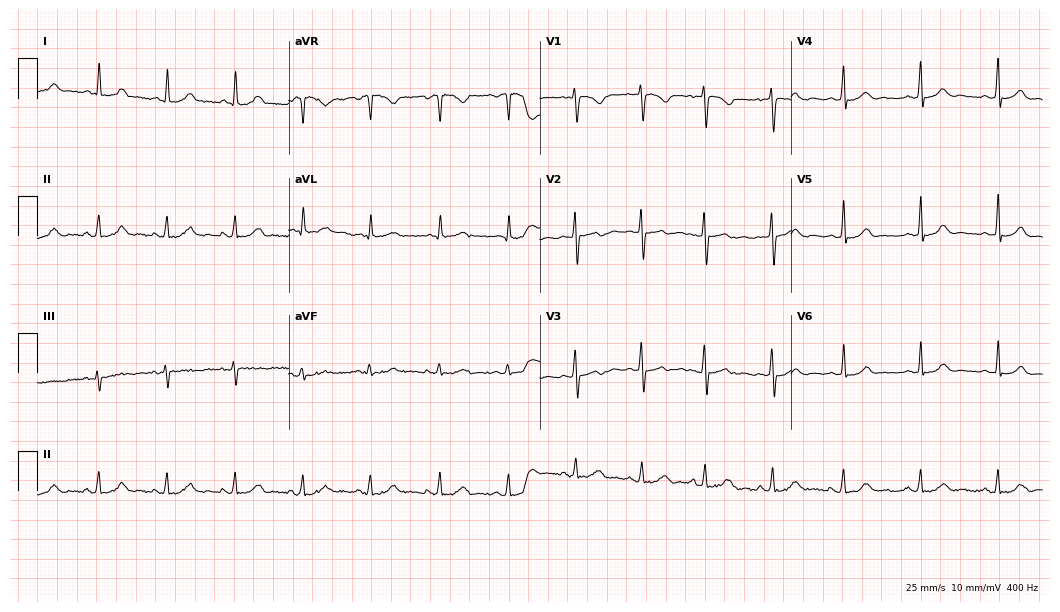
Electrocardiogram, a 29-year-old woman. Of the six screened findings (first-degree AV block, right bundle branch block, left bundle branch block, sinus bradycardia, atrial fibrillation, sinus tachycardia), none is recorded. Findings outside these six are not listed.